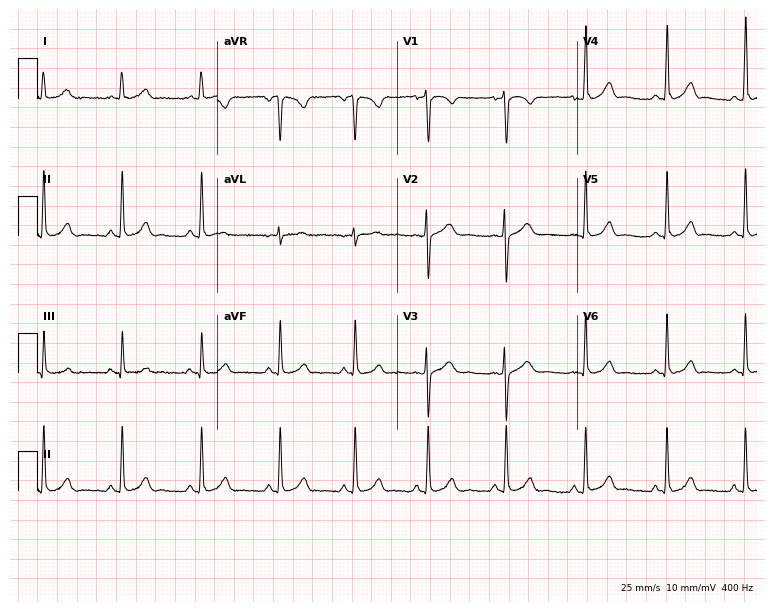
Resting 12-lead electrocardiogram (7.3-second recording at 400 Hz). Patient: a female, 19 years old. None of these six findings is recorded: first-degree AV block, right bundle branch block, left bundle branch block, sinus bradycardia, atrial fibrillation, sinus tachycardia. Other findings, if any, are not listed.